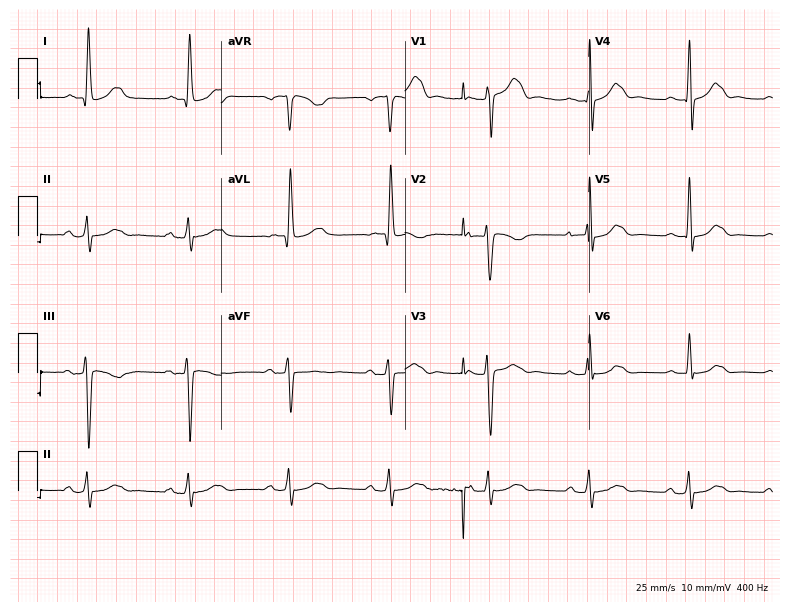
Resting 12-lead electrocardiogram (7.5-second recording at 400 Hz). Patient: a male, 85 years old. None of these six findings is recorded: first-degree AV block, right bundle branch block (RBBB), left bundle branch block (LBBB), sinus bradycardia, atrial fibrillation (AF), sinus tachycardia.